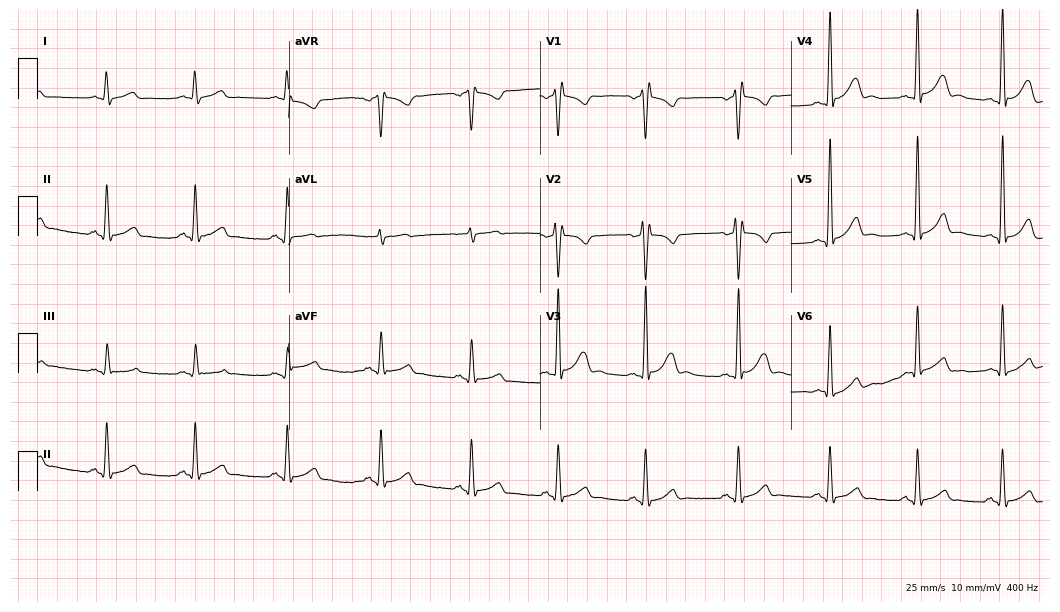
ECG (10.2-second recording at 400 Hz) — a male, 22 years old. Screened for six findings — first-degree AV block, right bundle branch block, left bundle branch block, sinus bradycardia, atrial fibrillation, sinus tachycardia — none is recorded. Findings outside these six are not listed.